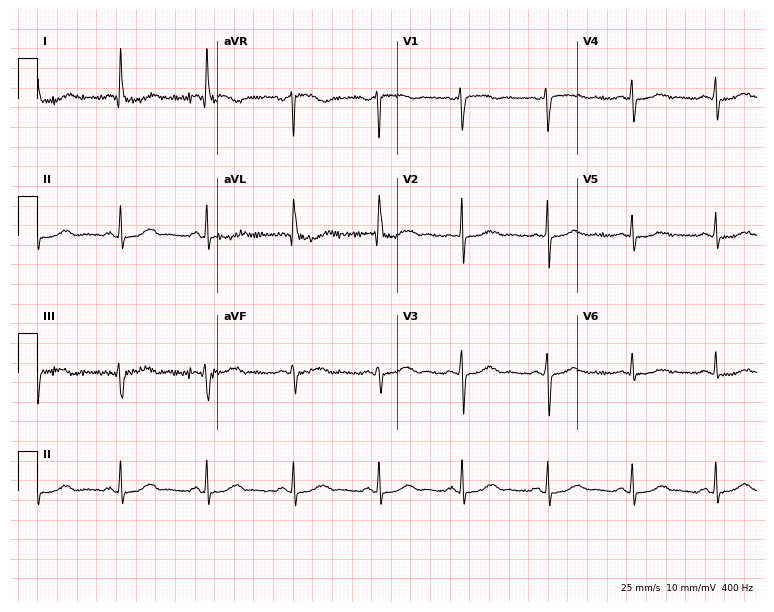
Standard 12-lead ECG recorded from a female patient, 55 years old (7.3-second recording at 400 Hz). Read as a normal ECG.